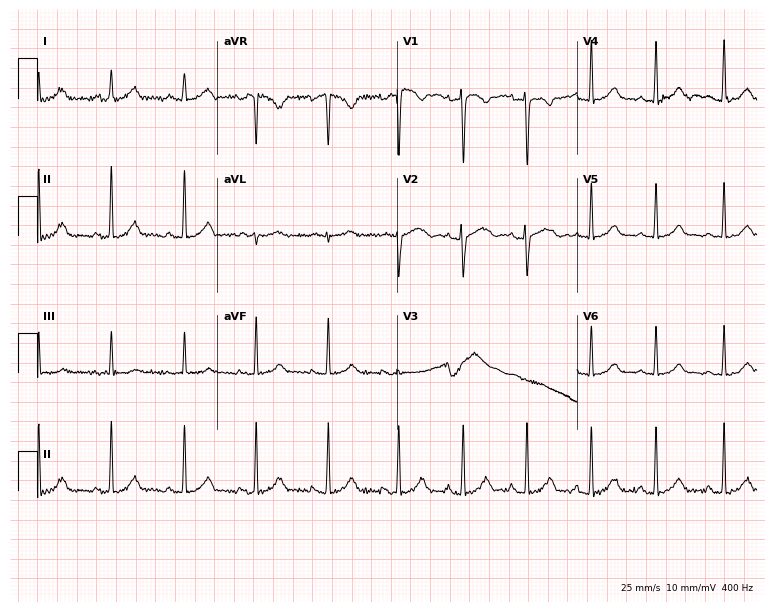
12-lead ECG (7.3-second recording at 400 Hz) from a female patient, 33 years old. Screened for six findings — first-degree AV block, right bundle branch block (RBBB), left bundle branch block (LBBB), sinus bradycardia, atrial fibrillation (AF), sinus tachycardia — none is recorded.